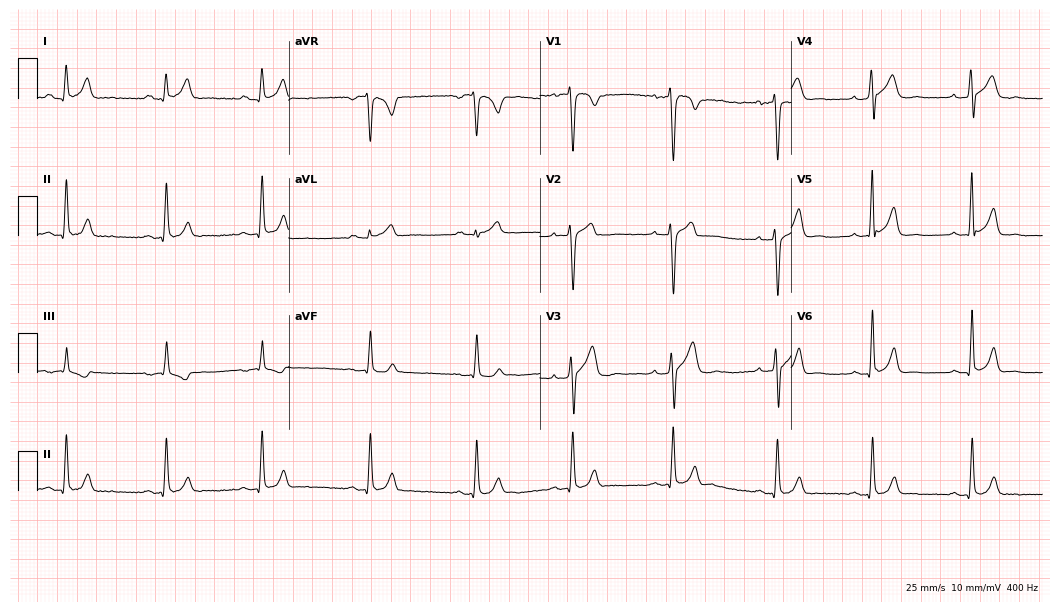
ECG — a 28-year-old male. Labelled as a normal ECG.